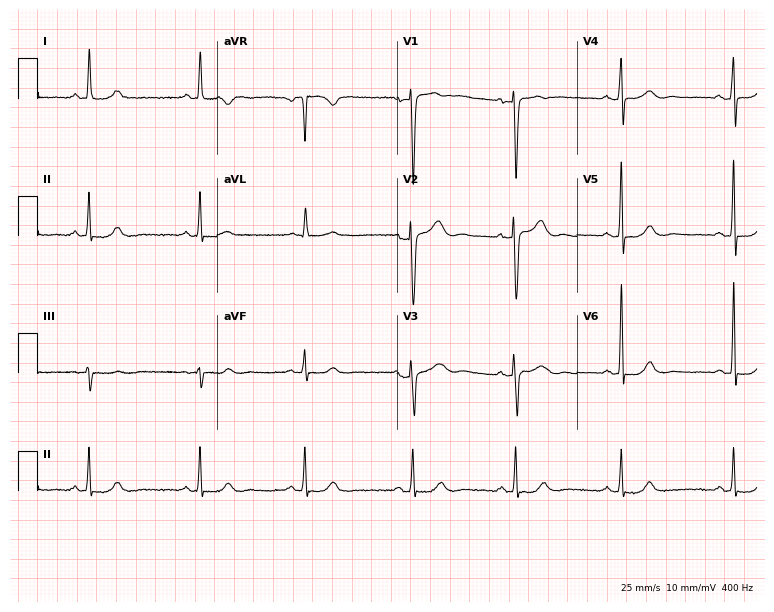
ECG (7.3-second recording at 400 Hz) — a 50-year-old female patient. Screened for six findings — first-degree AV block, right bundle branch block (RBBB), left bundle branch block (LBBB), sinus bradycardia, atrial fibrillation (AF), sinus tachycardia — none is recorded.